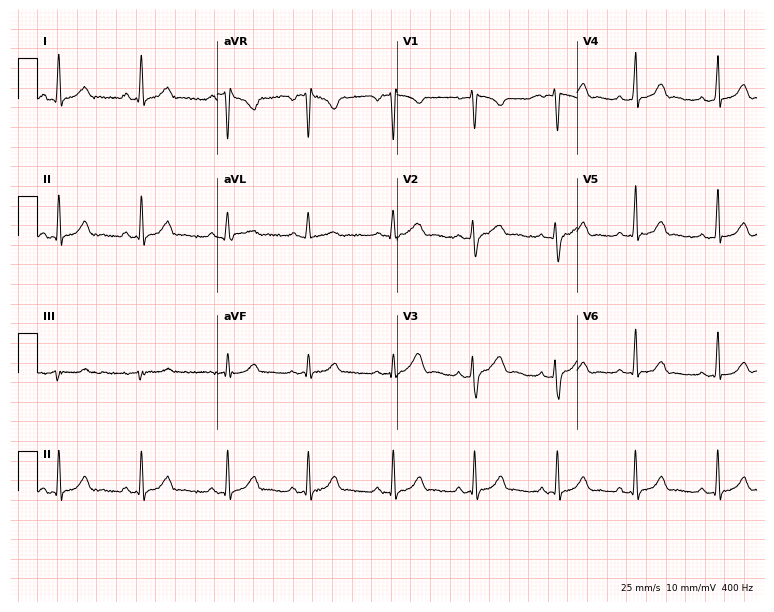
12-lead ECG from a 20-year-old female. Recorded interpretation: within normal limits.